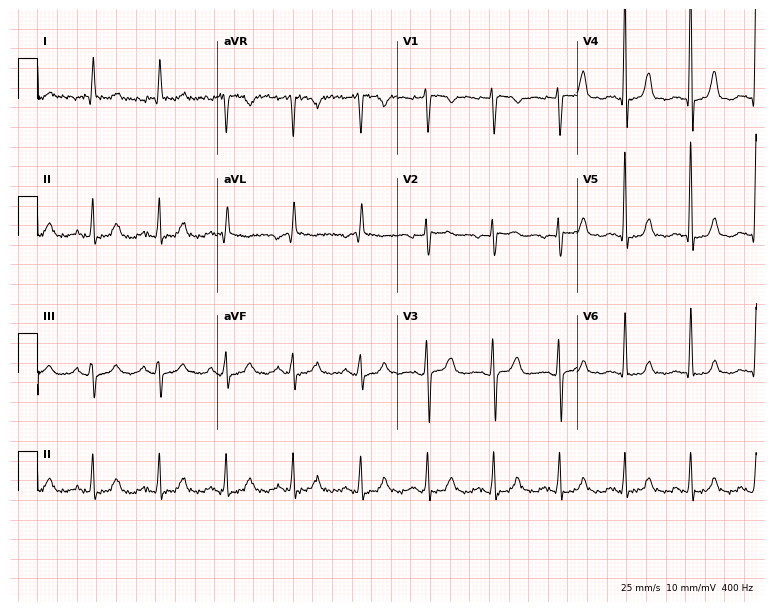
Standard 12-lead ECG recorded from a woman, 66 years old (7.3-second recording at 400 Hz). Read as a normal ECG.